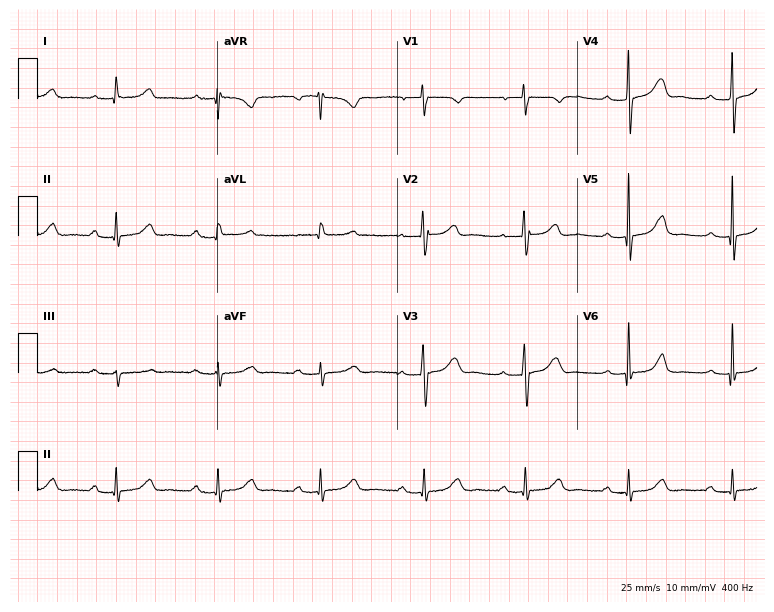
Standard 12-lead ECG recorded from a female, 65 years old (7.3-second recording at 400 Hz). None of these six findings is recorded: first-degree AV block, right bundle branch block (RBBB), left bundle branch block (LBBB), sinus bradycardia, atrial fibrillation (AF), sinus tachycardia.